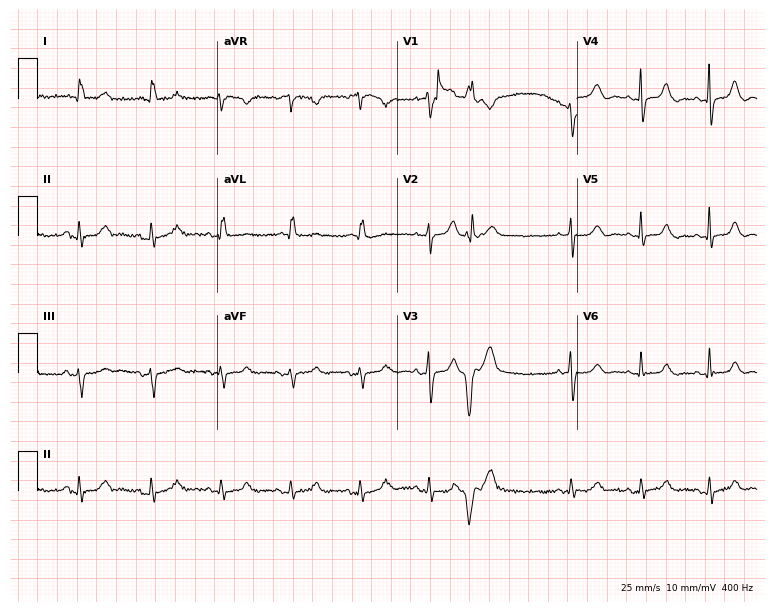
ECG (7.3-second recording at 400 Hz) — a woman, 81 years old. Screened for six findings — first-degree AV block, right bundle branch block (RBBB), left bundle branch block (LBBB), sinus bradycardia, atrial fibrillation (AF), sinus tachycardia — none is recorded. Other findings, if any, are not listed.